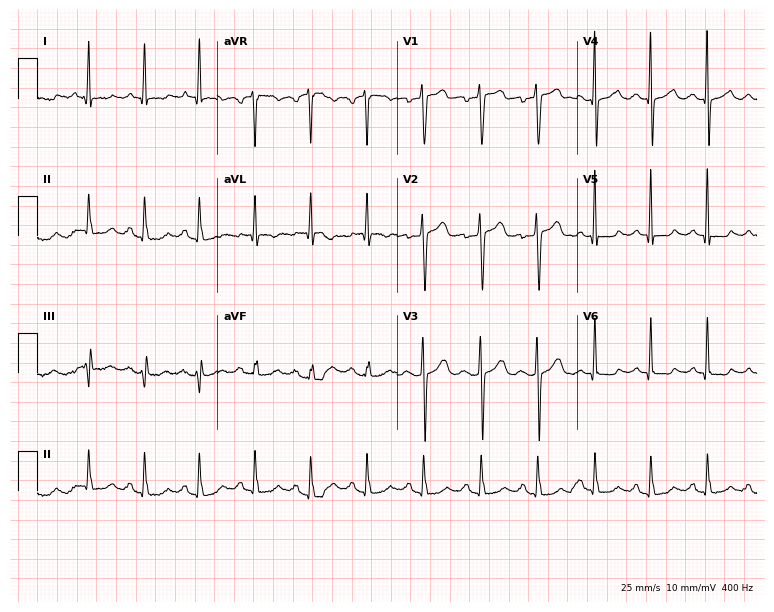
12-lead ECG (7.3-second recording at 400 Hz) from a female, 63 years old. Findings include sinus tachycardia (a sinus rate of 100 beats per minute or more).